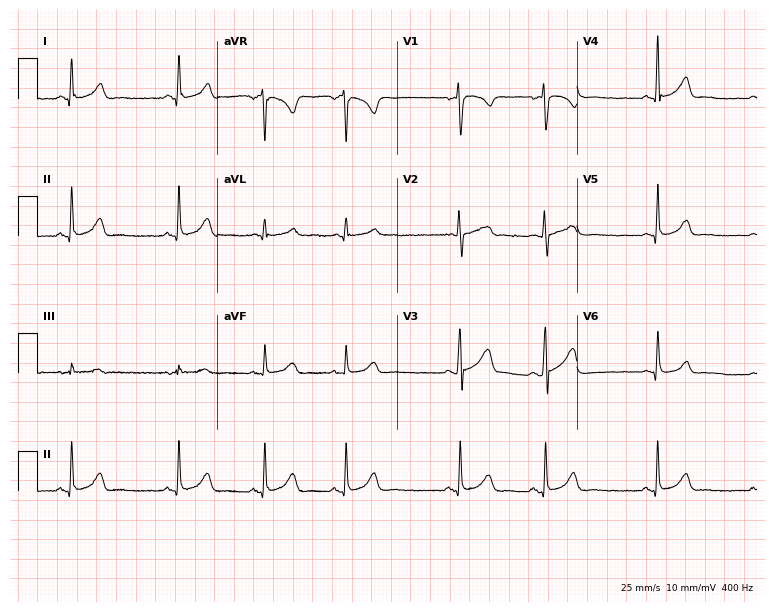
12-lead ECG (7.3-second recording at 400 Hz) from a 26-year-old woman. Screened for six findings — first-degree AV block, right bundle branch block, left bundle branch block, sinus bradycardia, atrial fibrillation, sinus tachycardia — none is recorded. Only these six findings were labelled.